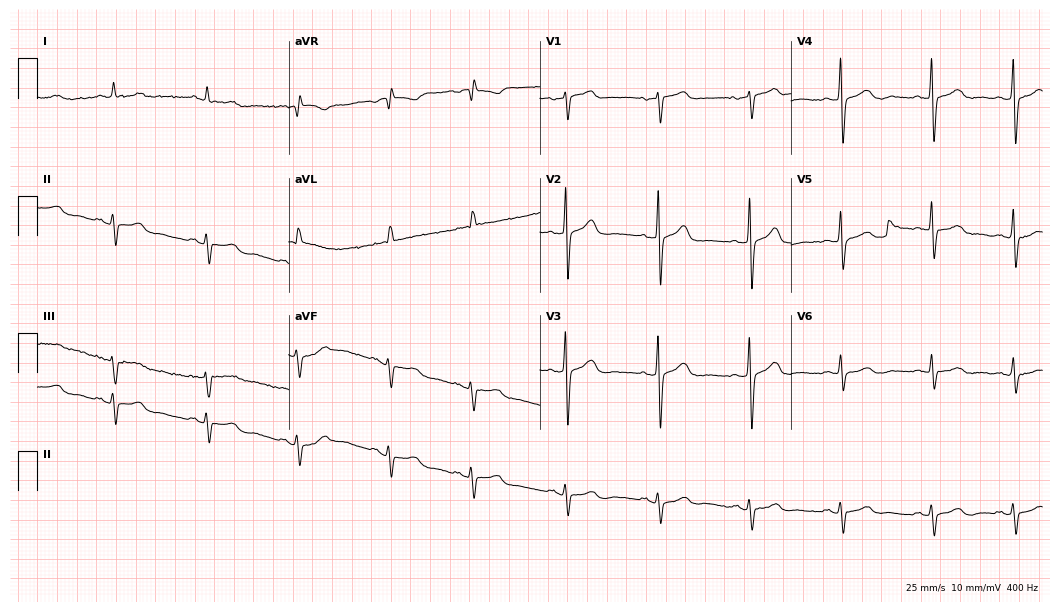
ECG (10.2-second recording at 400 Hz) — a 78-year-old male. Screened for six findings — first-degree AV block, right bundle branch block, left bundle branch block, sinus bradycardia, atrial fibrillation, sinus tachycardia — none is recorded. Only these six findings were labelled.